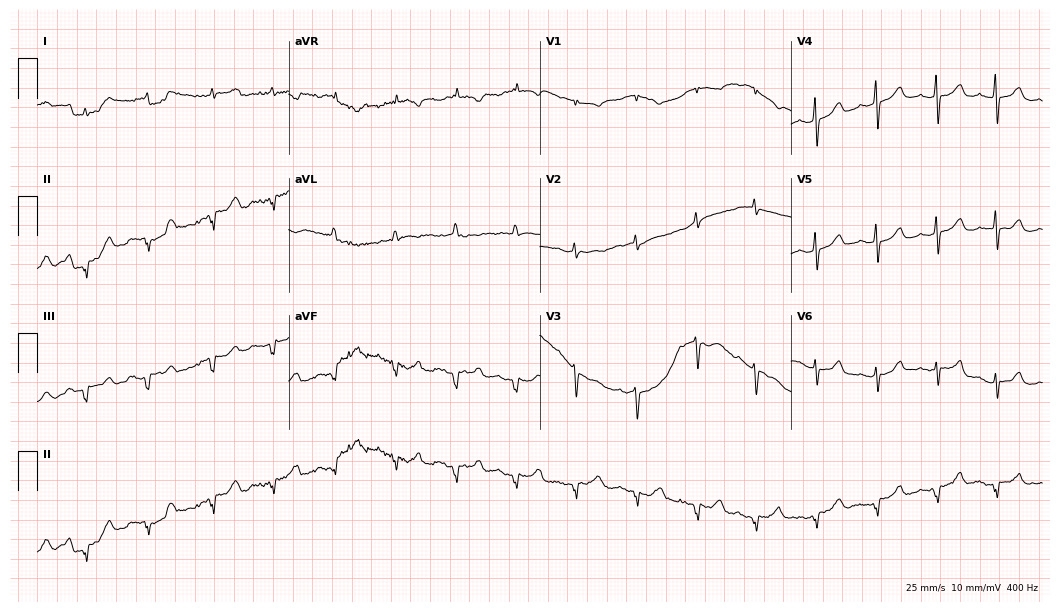
12-lead ECG (10.2-second recording at 400 Hz) from a female, 68 years old. Screened for six findings — first-degree AV block, right bundle branch block, left bundle branch block, sinus bradycardia, atrial fibrillation, sinus tachycardia — none is recorded.